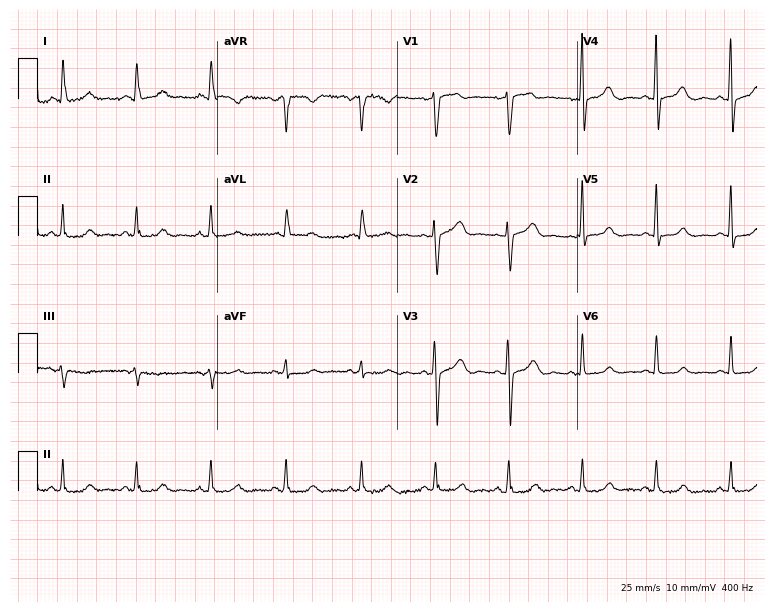
12-lead ECG from a female, 57 years old. Screened for six findings — first-degree AV block, right bundle branch block (RBBB), left bundle branch block (LBBB), sinus bradycardia, atrial fibrillation (AF), sinus tachycardia — none is recorded. Other findings, if any, are not listed.